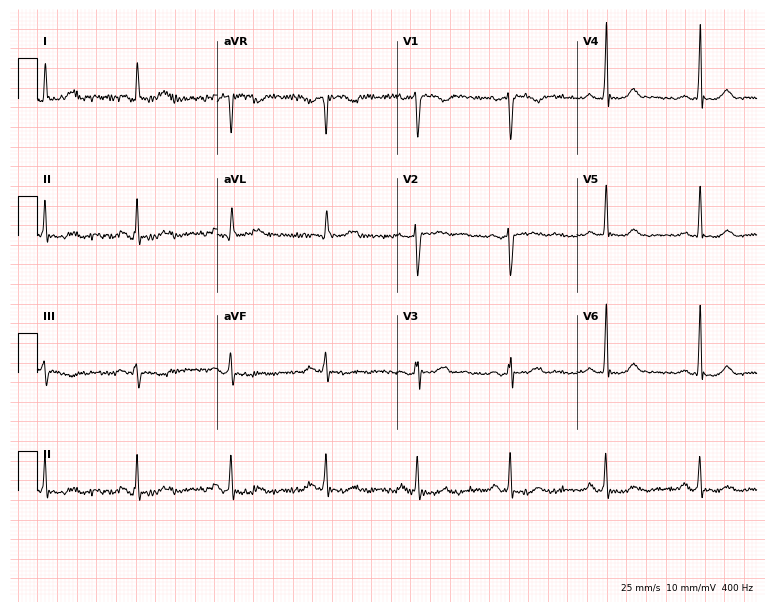
Electrocardiogram, a female, 54 years old. Of the six screened findings (first-degree AV block, right bundle branch block, left bundle branch block, sinus bradycardia, atrial fibrillation, sinus tachycardia), none is recorded. Other findings, if any, are not listed.